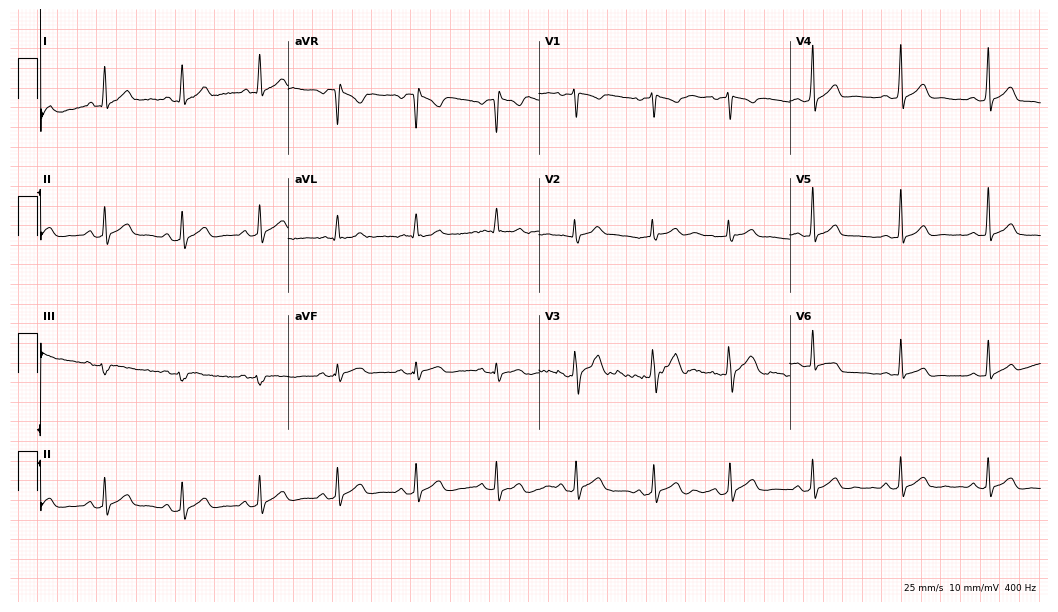
ECG (10.2-second recording at 400 Hz) — a 21-year-old male. Labelled as a normal ECG.